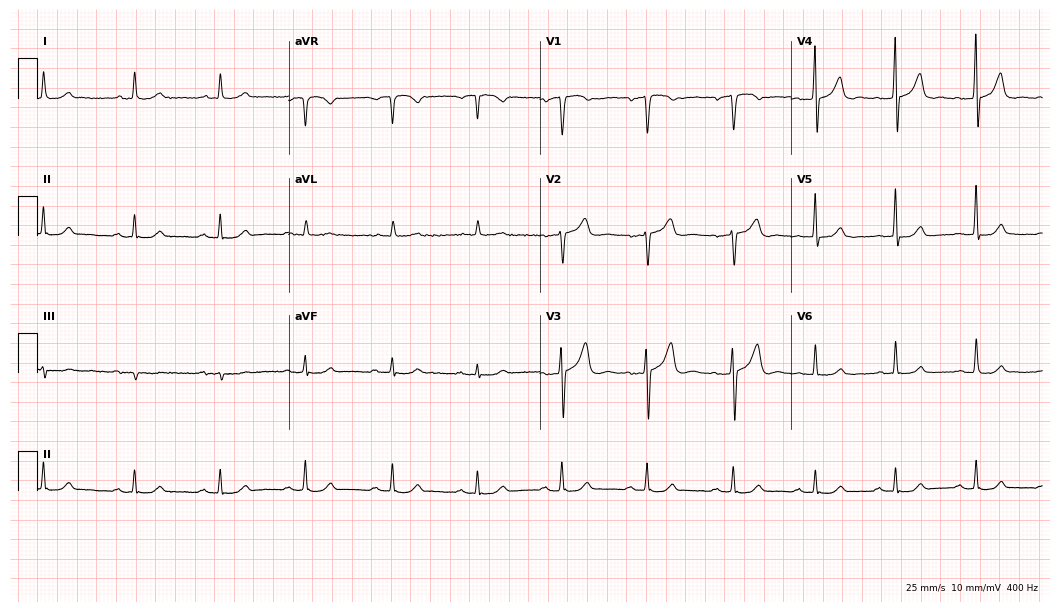
Standard 12-lead ECG recorded from a female, 73 years old (10.2-second recording at 400 Hz). Read as a normal ECG.